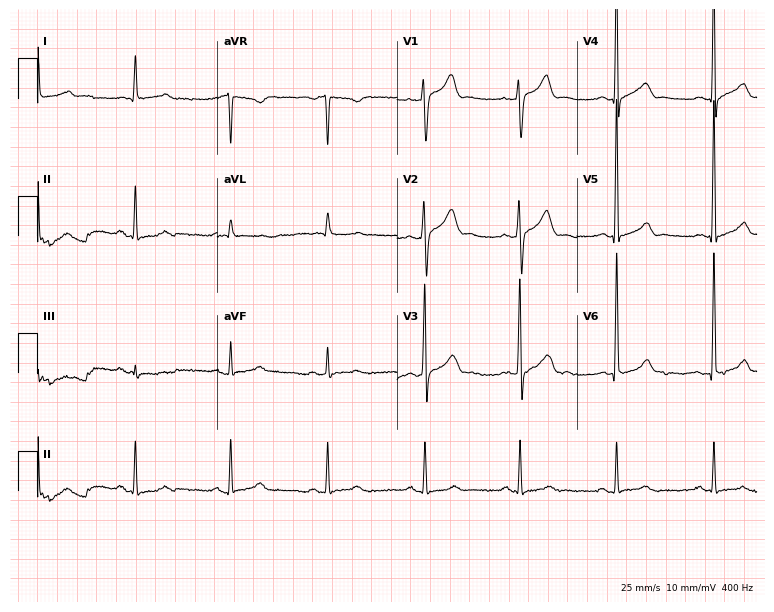
ECG — a man, 69 years old. Labelled as a normal ECG.